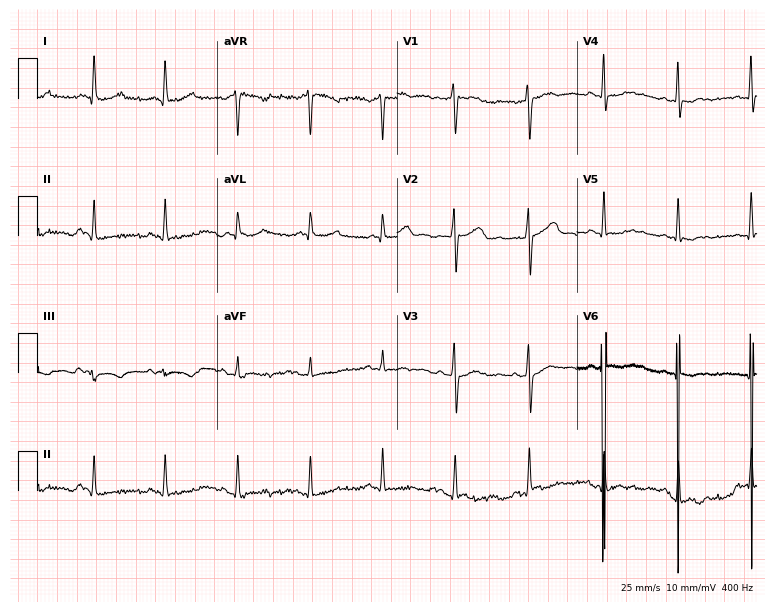
Resting 12-lead electrocardiogram. Patient: a woman, 48 years old. None of these six findings is recorded: first-degree AV block, right bundle branch block, left bundle branch block, sinus bradycardia, atrial fibrillation, sinus tachycardia.